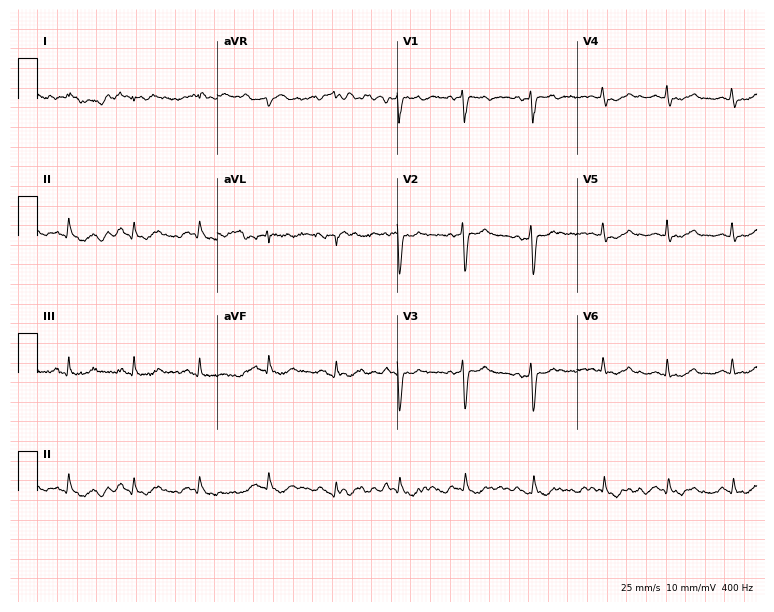
ECG — a woman, 38 years old. Screened for six findings — first-degree AV block, right bundle branch block, left bundle branch block, sinus bradycardia, atrial fibrillation, sinus tachycardia — none is recorded.